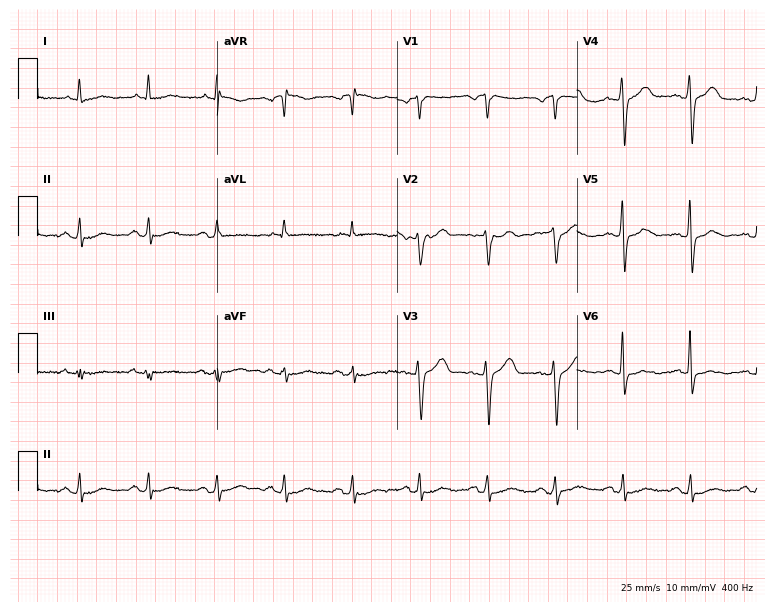
Electrocardiogram, a 62-year-old male patient. Of the six screened findings (first-degree AV block, right bundle branch block, left bundle branch block, sinus bradycardia, atrial fibrillation, sinus tachycardia), none is recorded. Only these six findings were labelled.